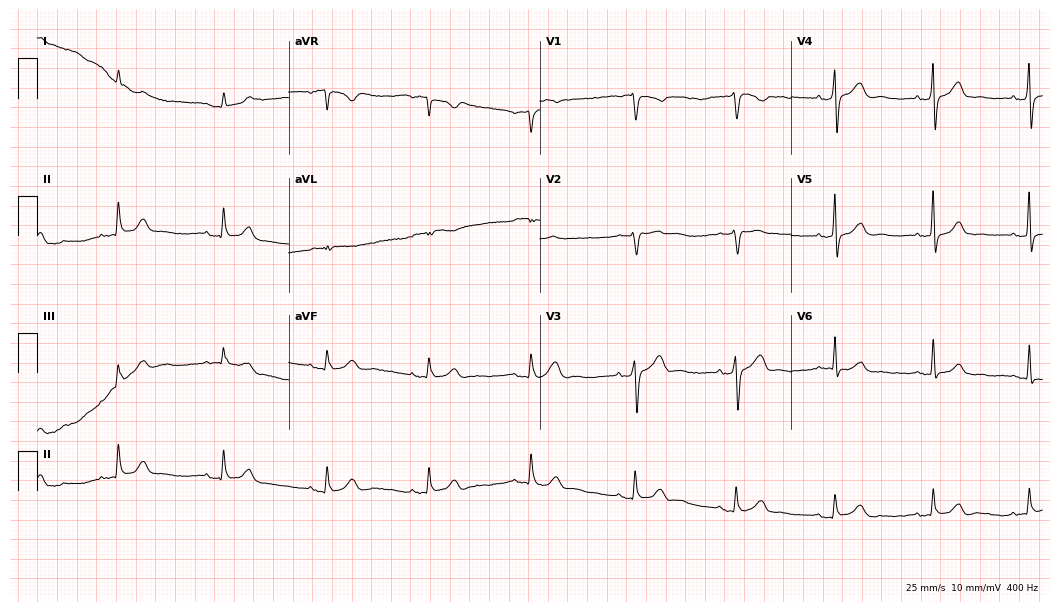
12-lead ECG from a male patient, 70 years old. Labelled as a normal ECG.